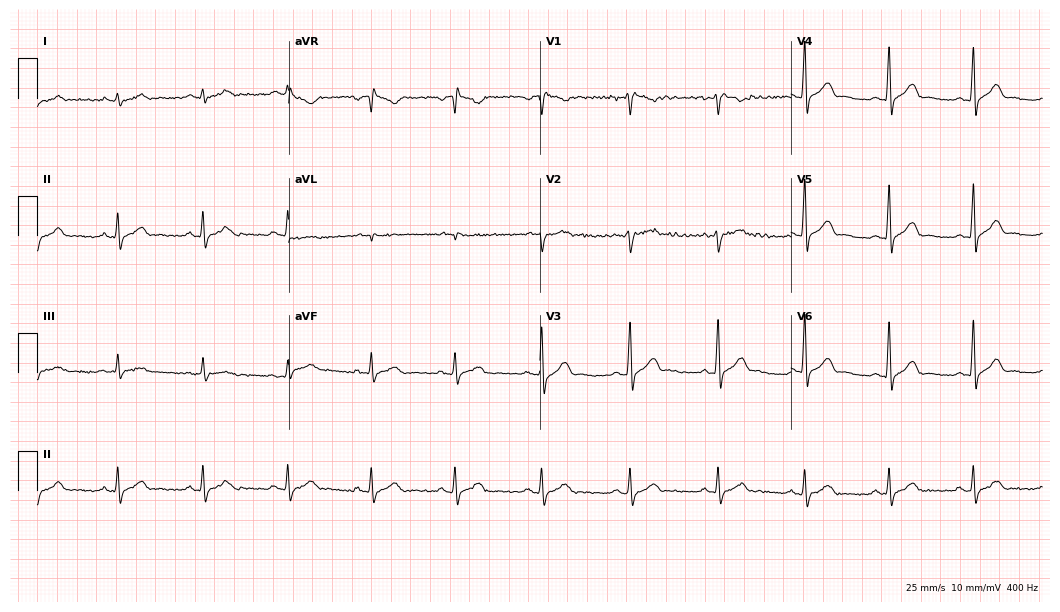
Electrocardiogram, a man, 38 years old. Of the six screened findings (first-degree AV block, right bundle branch block (RBBB), left bundle branch block (LBBB), sinus bradycardia, atrial fibrillation (AF), sinus tachycardia), none is recorded.